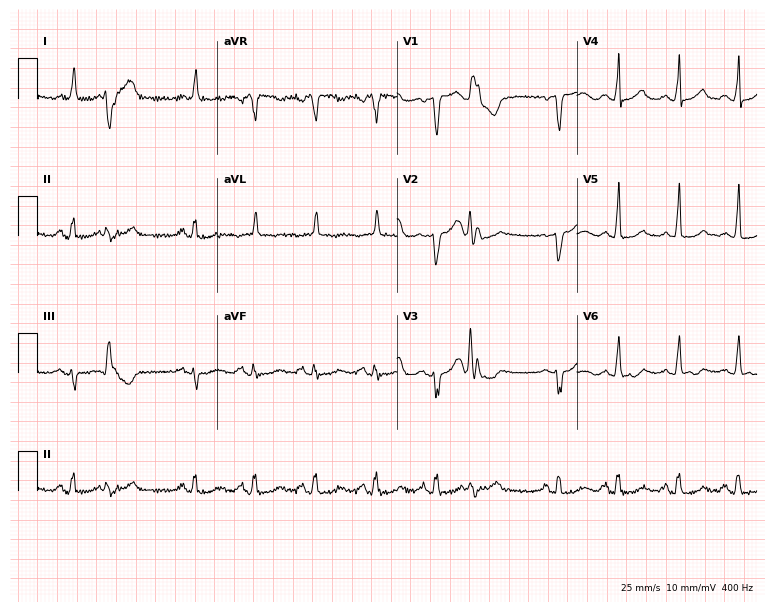
12-lead ECG from an 83-year-old female (7.3-second recording at 400 Hz). No first-degree AV block, right bundle branch block, left bundle branch block, sinus bradycardia, atrial fibrillation or sinus tachycardia recorded for this tracing.